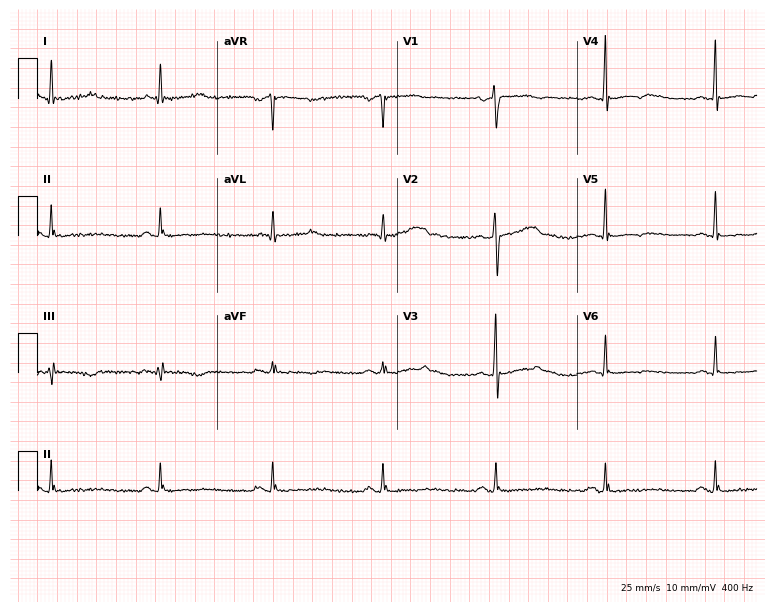
ECG (7.3-second recording at 400 Hz) — a 51-year-old man. Screened for six findings — first-degree AV block, right bundle branch block, left bundle branch block, sinus bradycardia, atrial fibrillation, sinus tachycardia — none is recorded.